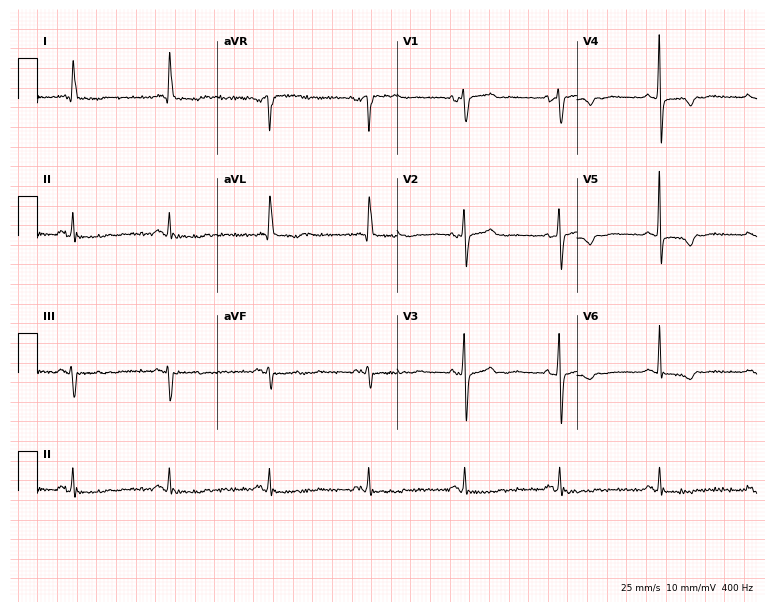
Resting 12-lead electrocardiogram. Patient: an 80-year-old female. None of these six findings is recorded: first-degree AV block, right bundle branch block, left bundle branch block, sinus bradycardia, atrial fibrillation, sinus tachycardia. Other findings, if any, are not listed.